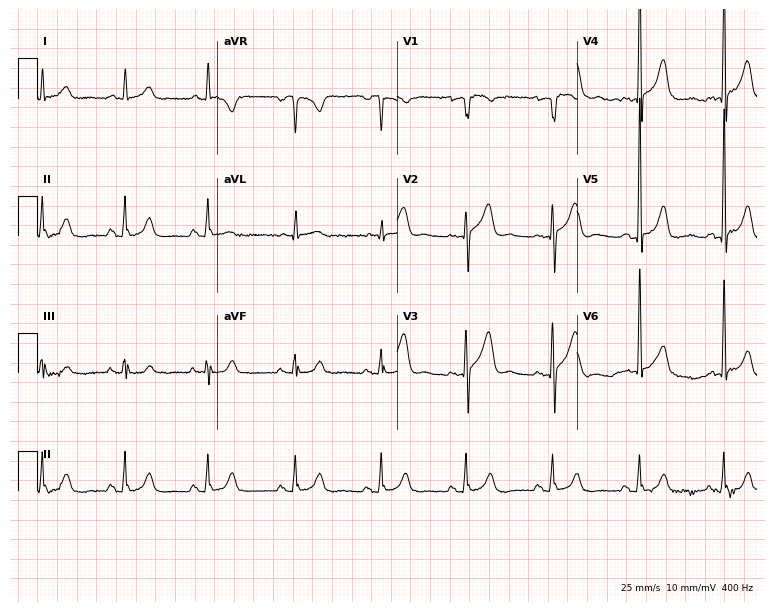
ECG — a 62-year-old female patient. Screened for six findings — first-degree AV block, right bundle branch block, left bundle branch block, sinus bradycardia, atrial fibrillation, sinus tachycardia — none is recorded.